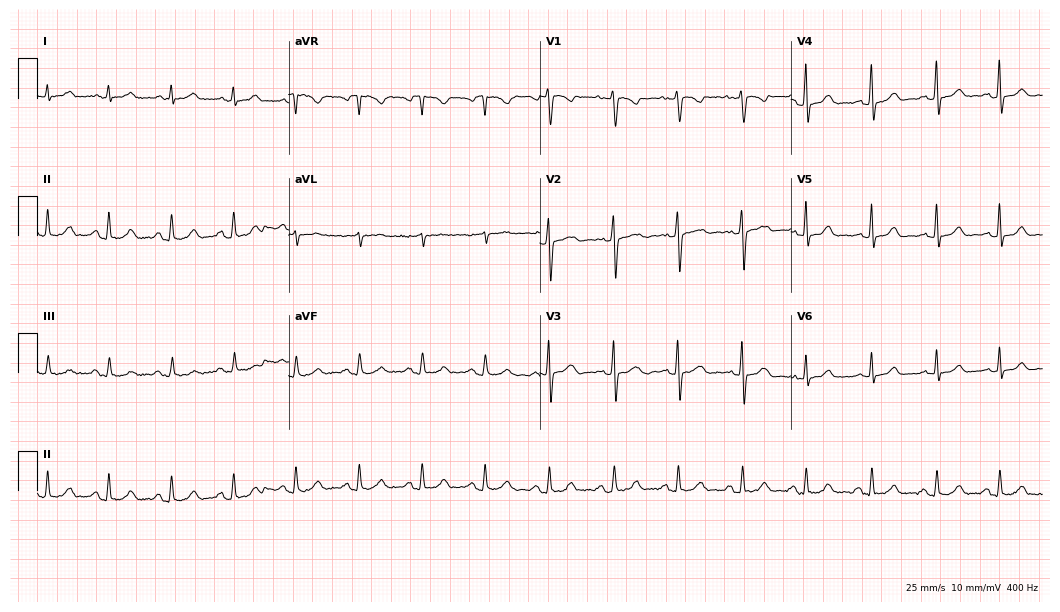
ECG (10.2-second recording at 400 Hz) — a 42-year-old female patient. Screened for six findings — first-degree AV block, right bundle branch block, left bundle branch block, sinus bradycardia, atrial fibrillation, sinus tachycardia — none is recorded.